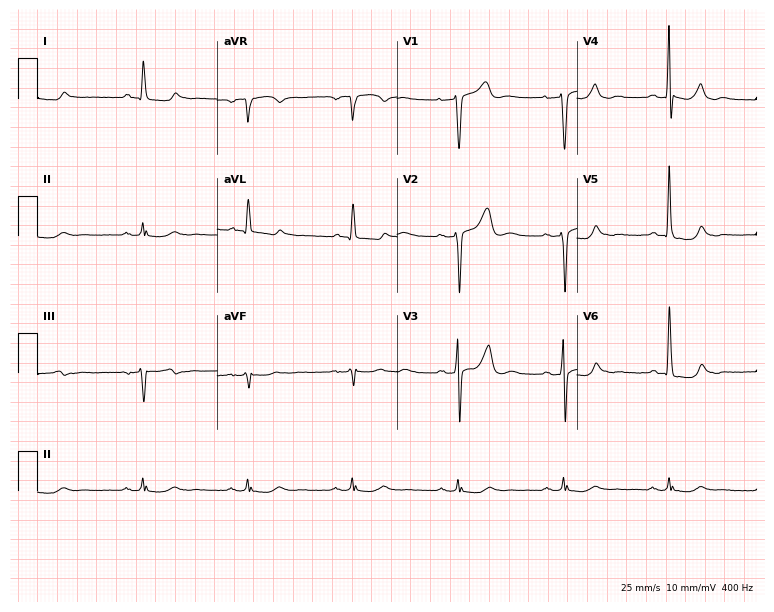
Resting 12-lead electrocardiogram (7.3-second recording at 400 Hz). Patient: a man, 66 years old. None of these six findings is recorded: first-degree AV block, right bundle branch block, left bundle branch block, sinus bradycardia, atrial fibrillation, sinus tachycardia.